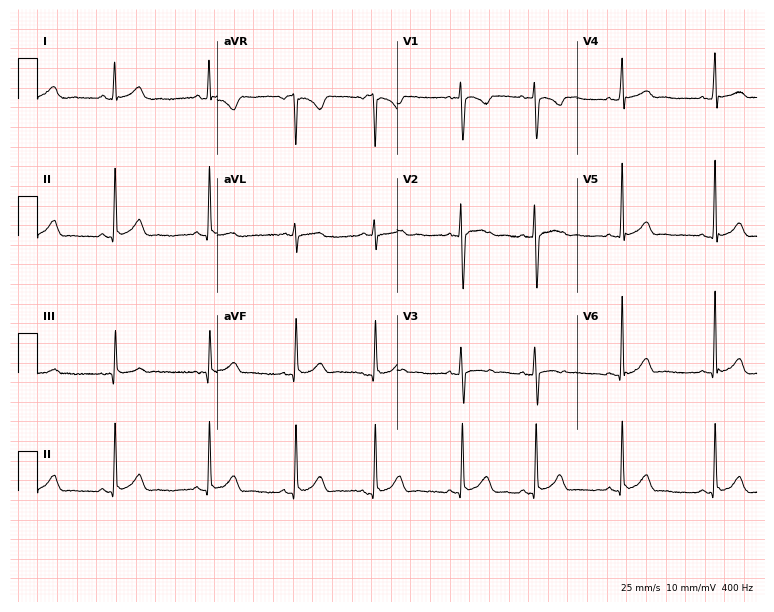
12-lead ECG from a woman, 18 years old. No first-degree AV block, right bundle branch block (RBBB), left bundle branch block (LBBB), sinus bradycardia, atrial fibrillation (AF) or sinus tachycardia recorded for this tracing.